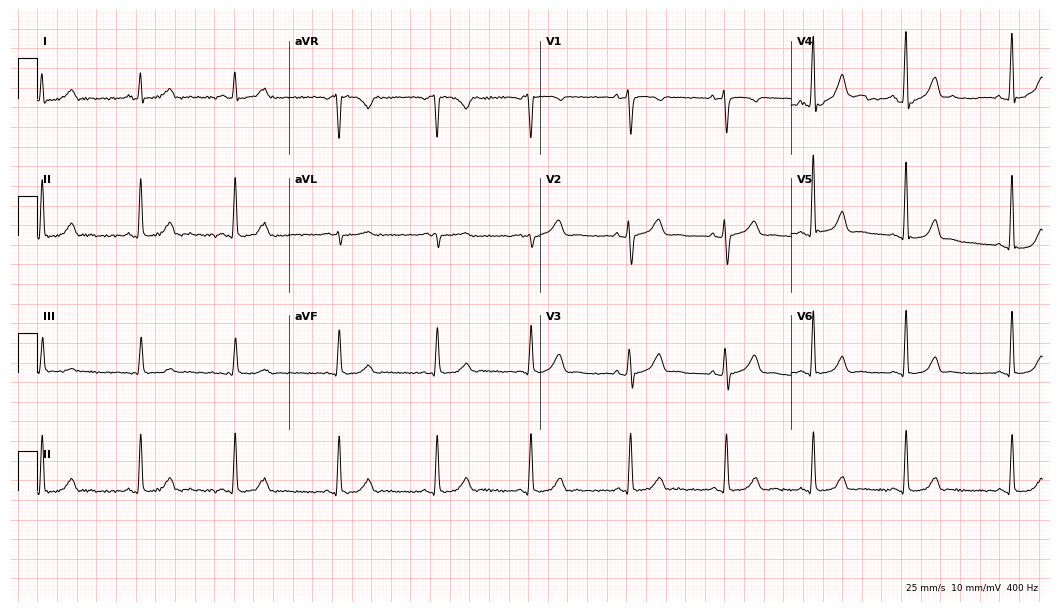
ECG — a female, 40 years old. Labelled as a normal ECG.